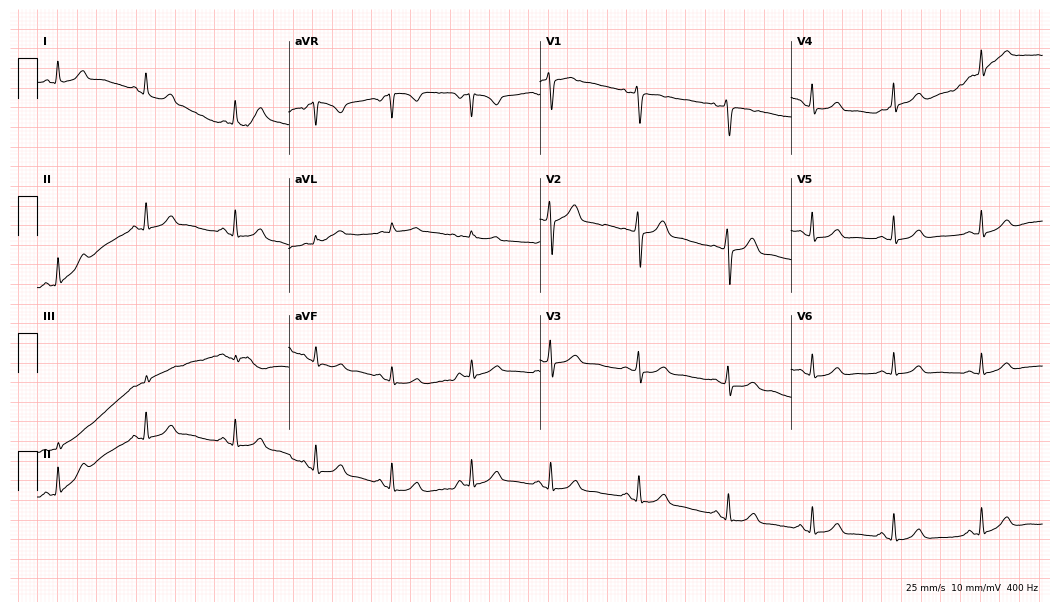
Resting 12-lead electrocardiogram. Patient: a 39-year-old woman. Read as a normal ECG.